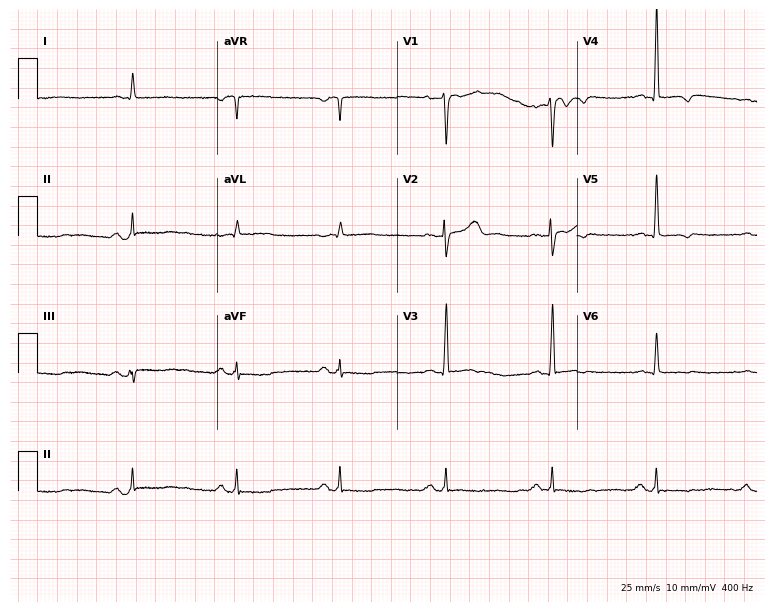
12-lead ECG from a 58-year-old male patient. No first-degree AV block, right bundle branch block, left bundle branch block, sinus bradycardia, atrial fibrillation or sinus tachycardia recorded for this tracing. Findings outside these six are not listed.